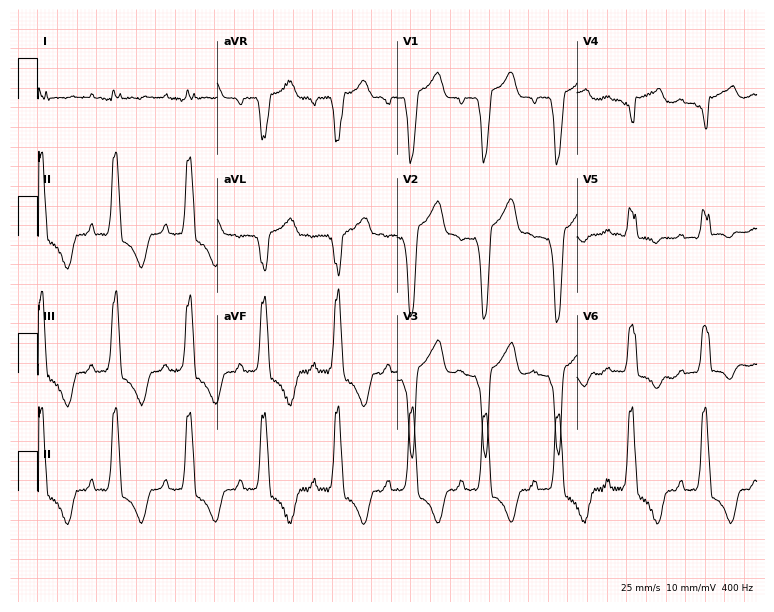
ECG — a 56-year-old woman. Findings include left bundle branch block.